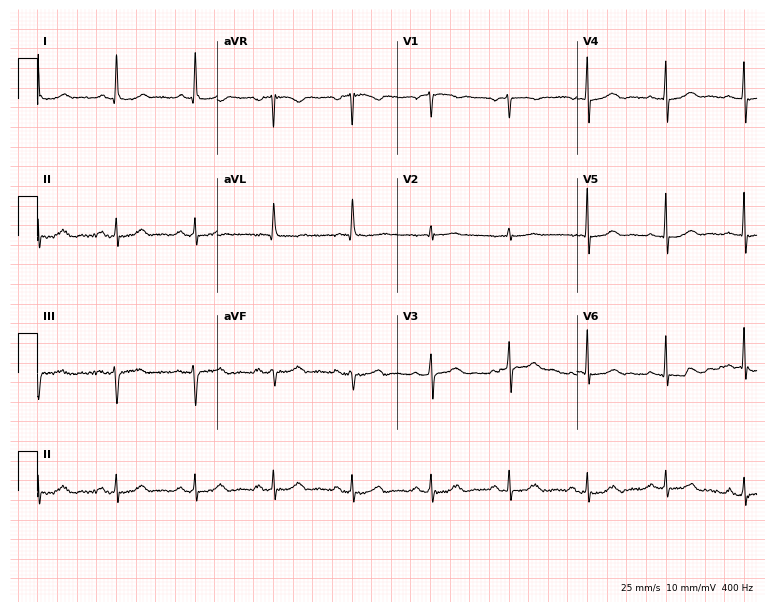
Electrocardiogram (7.3-second recording at 400 Hz), a 74-year-old woman. Overall reading on record: normal ECG.